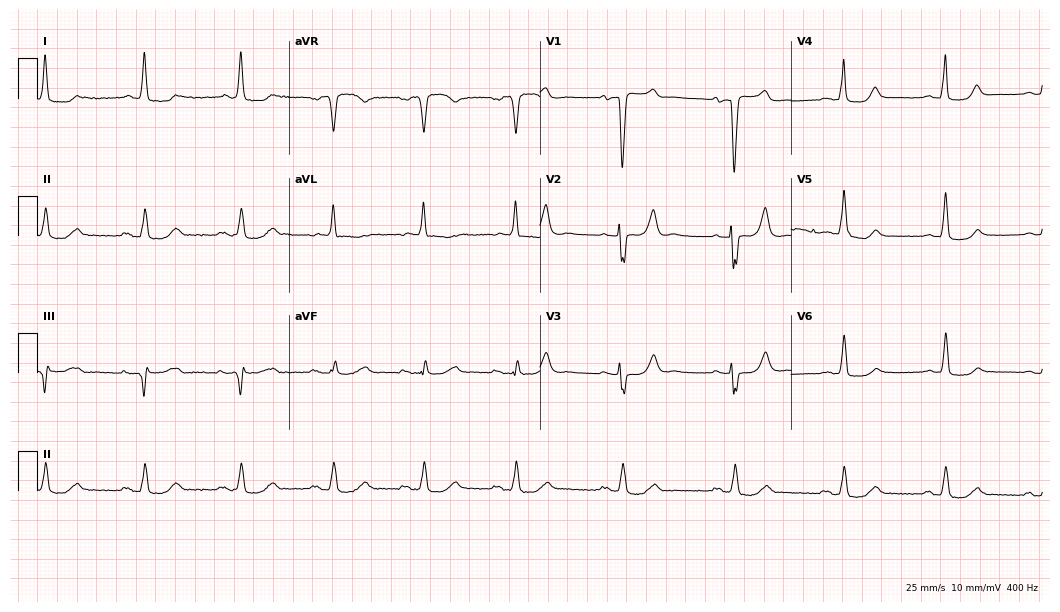
12-lead ECG from a 70-year-old woman. Screened for six findings — first-degree AV block, right bundle branch block (RBBB), left bundle branch block (LBBB), sinus bradycardia, atrial fibrillation (AF), sinus tachycardia — none is recorded.